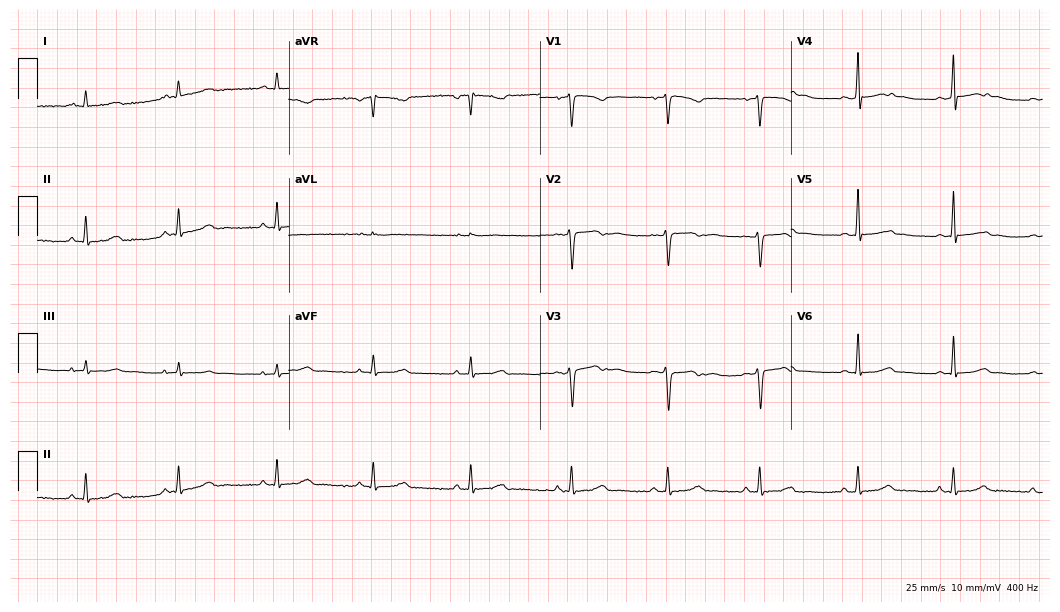
ECG — a 29-year-old female patient. Screened for six findings — first-degree AV block, right bundle branch block (RBBB), left bundle branch block (LBBB), sinus bradycardia, atrial fibrillation (AF), sinus tachycardia — none is recorded. Findings outside these six are not listed.